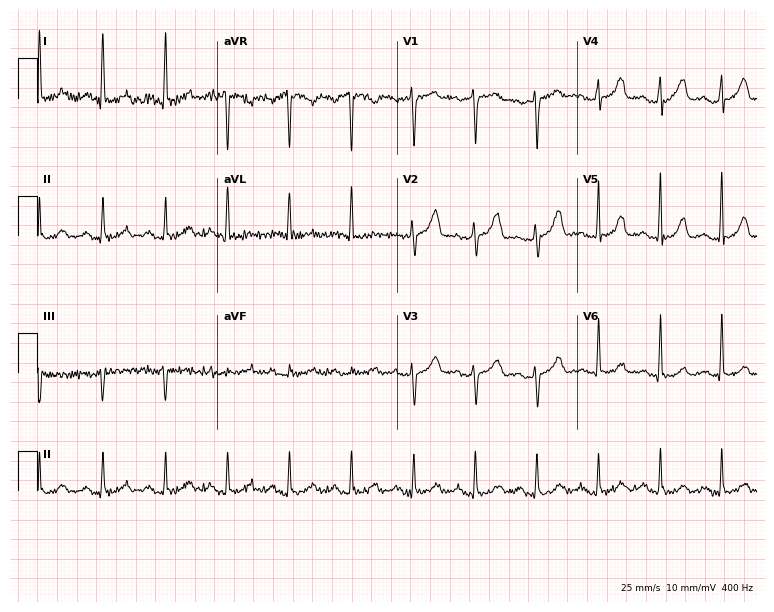
Electrocardiogram, a 55-year-old female. Overall reading on record: normal ECG.